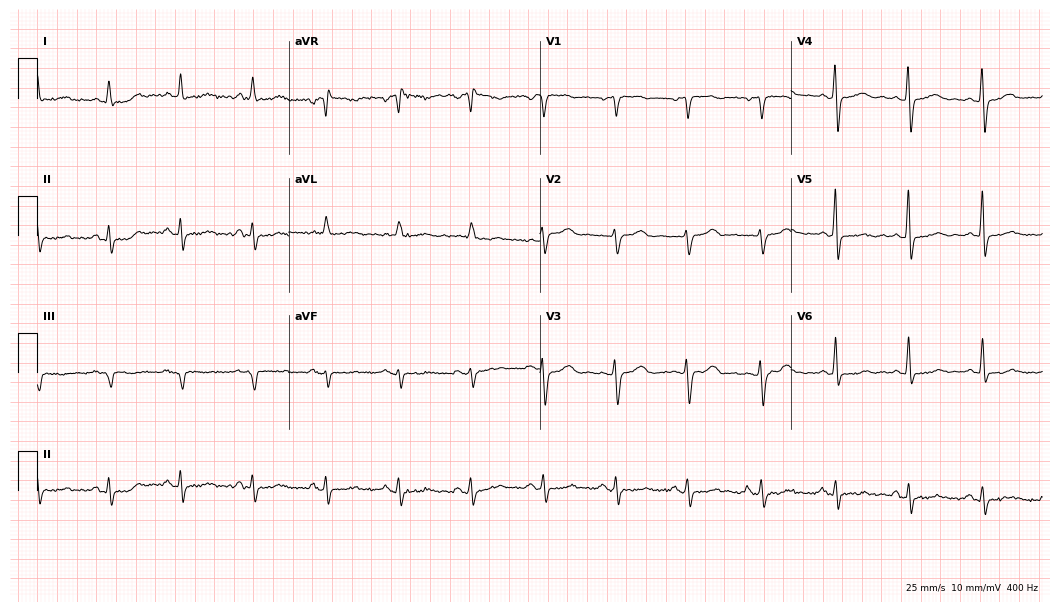
Electrocardiogram (10.2-second recording at 400 Hz), a female, 70 years old. Of the six screened findings (first-degree AV block, right bundle branch block (RBBB), left bundle branch block (LBBB), sinus bradycardia, atrial fibrillation (AF), sinus tachycardia), none is recorded. Findings outside these six are not listed.